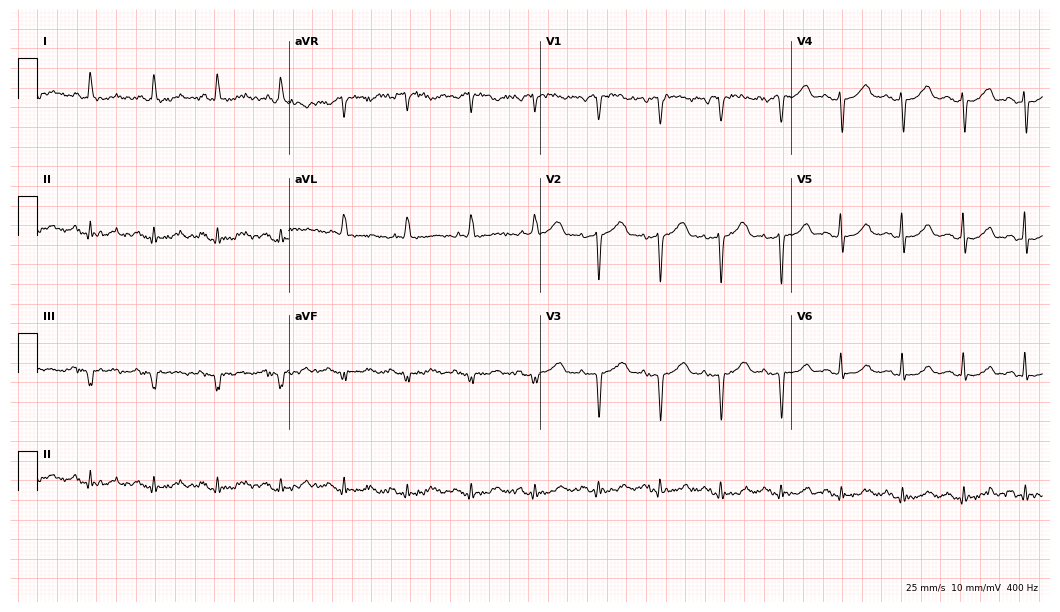
Electrocardiogram (10.2-second recording at 400 Hz), a 70-year-old woman. Of the six screened findings (first-degree AV block, right bundle branch block (RBBB), left bundle branch block (LBBB), sinus bradycardia, atrial fibrillation (AF), sinus tachycardia), none is recorded. Findings outside these six are not listed.